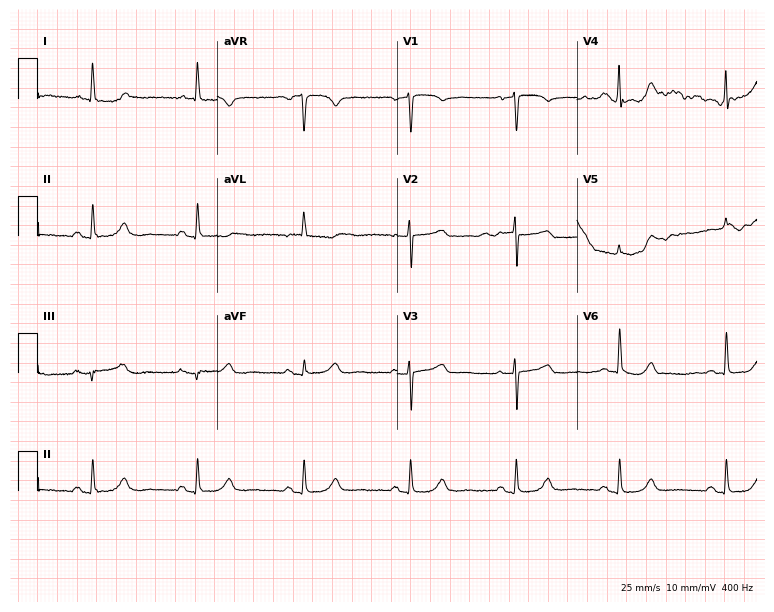
Standard 12-lead ECG recorded from a 66-year-old female patient. Read as a normal ECG.